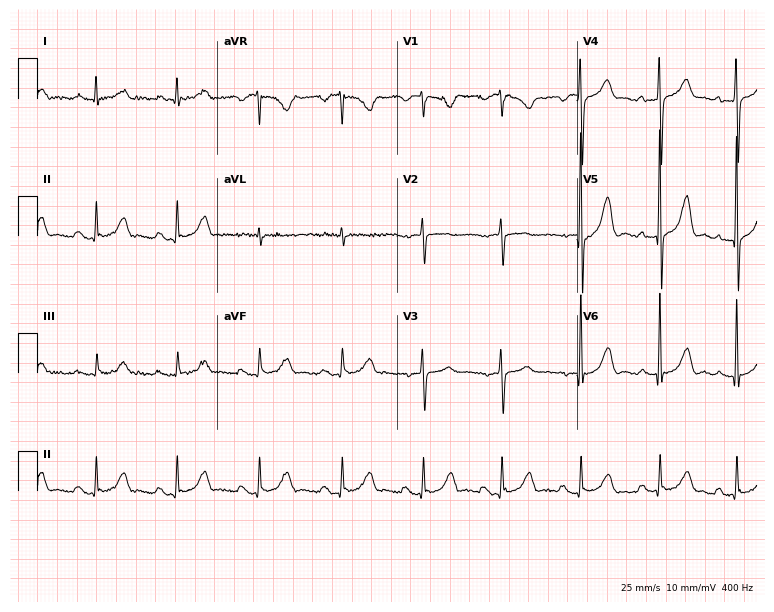
Electrocardiogram (7.3-second recording at 400 Hz), a 76-year-old man. Overall reading on record: normal ECG.